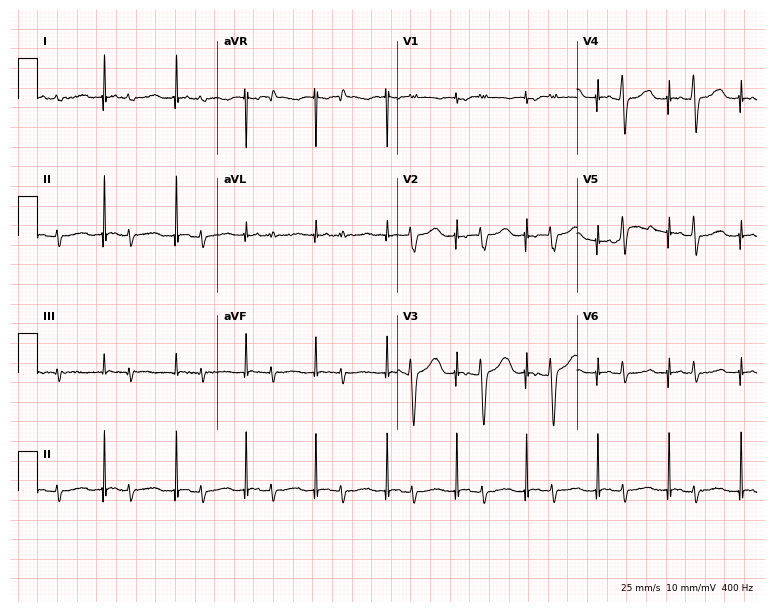
12-lead ECG from a 52-year-old male (7.3-second recording at 400 Hz). No first-degree AV block, right bundle branch block, left bundle branch block, sinus bradycardia, atrial fibrillation or sinus tachycardia recorded for this tracing. Other findings, if any, are not listed.